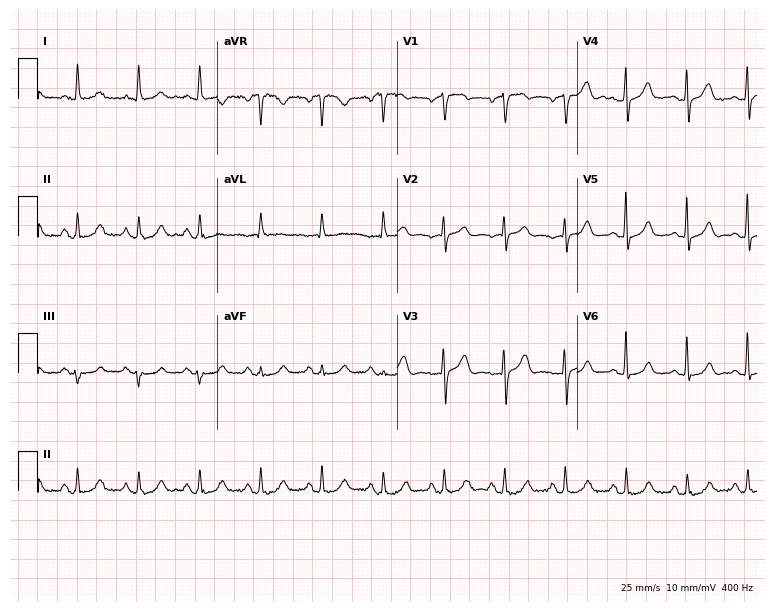
Standard 12-lead ECG recorded from a female, 75 years old. Read as a normal ECG.